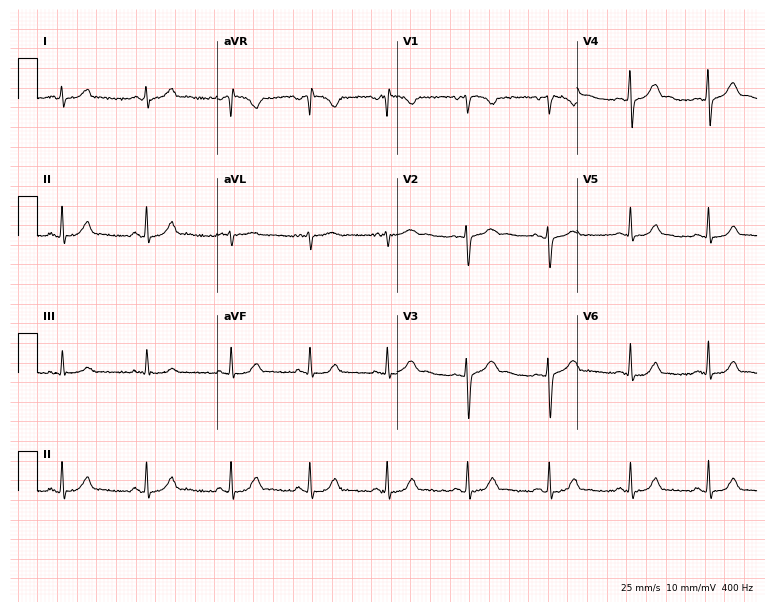
ECG (7.3-second recording at 400 Hz) — a 20-year-old female patient. Screened for six findings — first-degree AV block, right bundle branch block, left bundle branch block, sinus bradycardia, atrial fibrillation, sinus tachycardia — none is recorded. Findings outside these six are not listed.